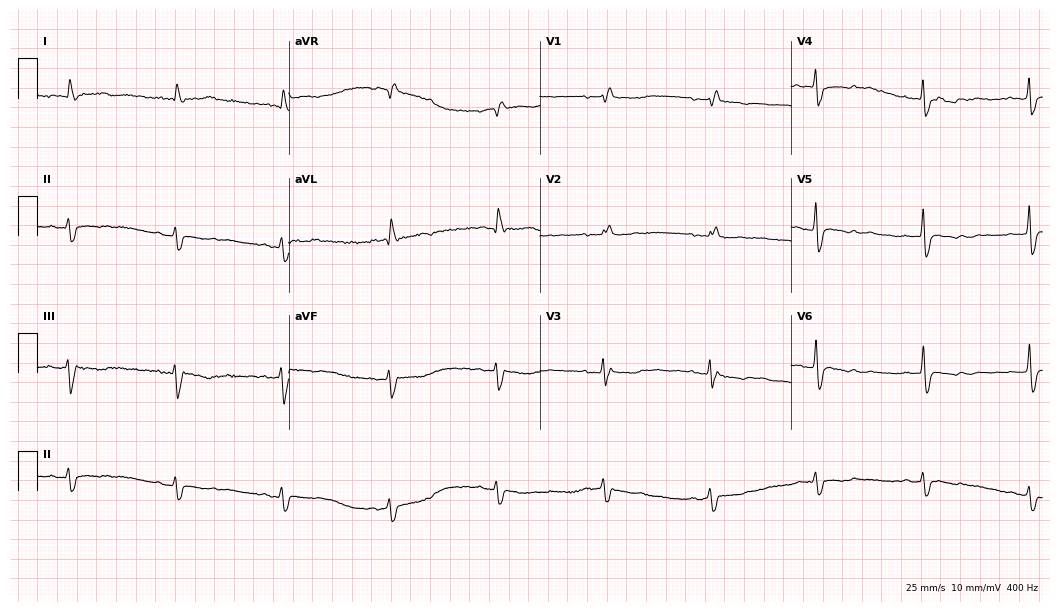
Standard 12-lead ECG recorded from a male patient, 69 years old. None of these six findings is recorded: first-degree AV block, right bundle branch block, left bundle branch block, sinus bradycardia, atrial fibrillation, sinus tachycardia. Only these six findings were labelled.